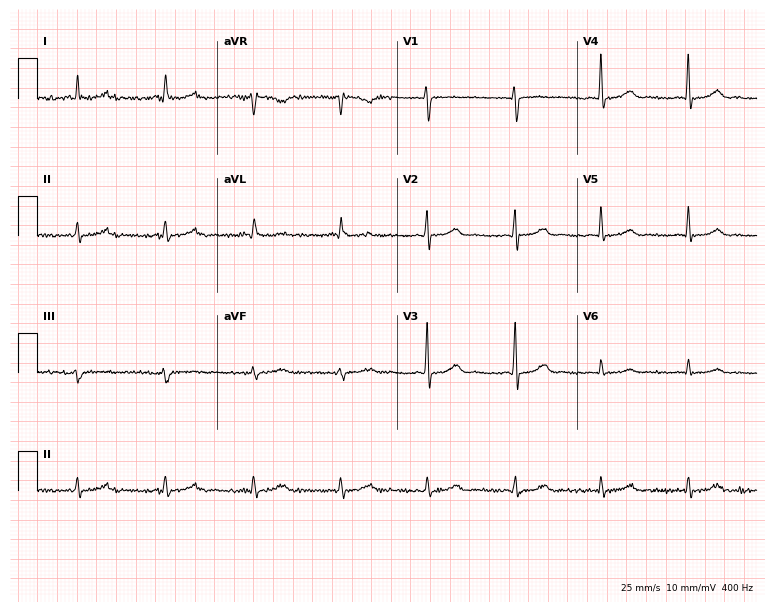
12-lead ECG from a 64-year-old female. Recorded interpretation: within normal limits.